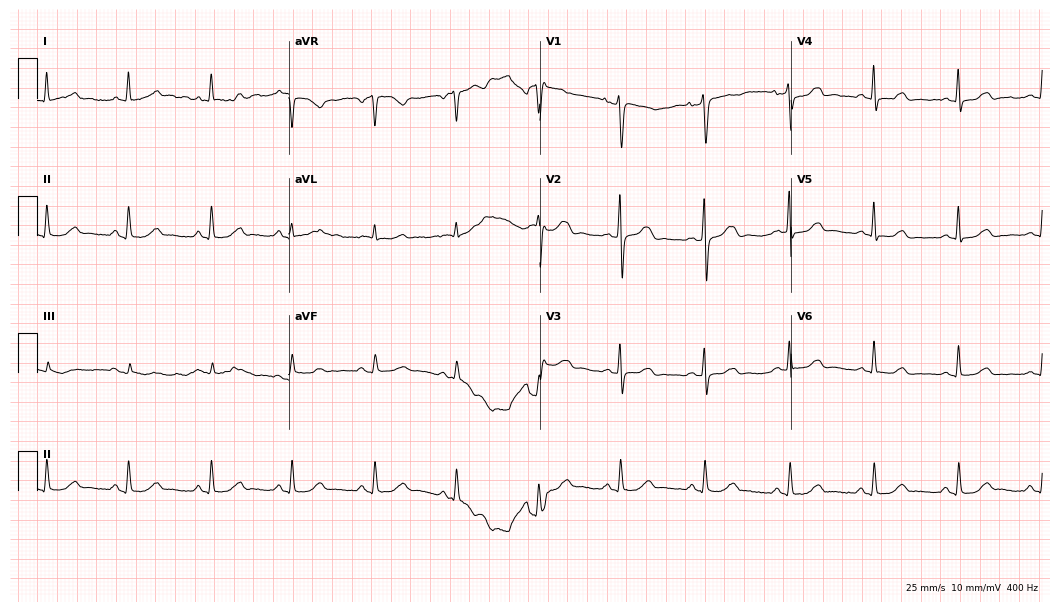
Standard 12-lead ECG recorded from a woman, 62 years old. Read as a normal ECG.